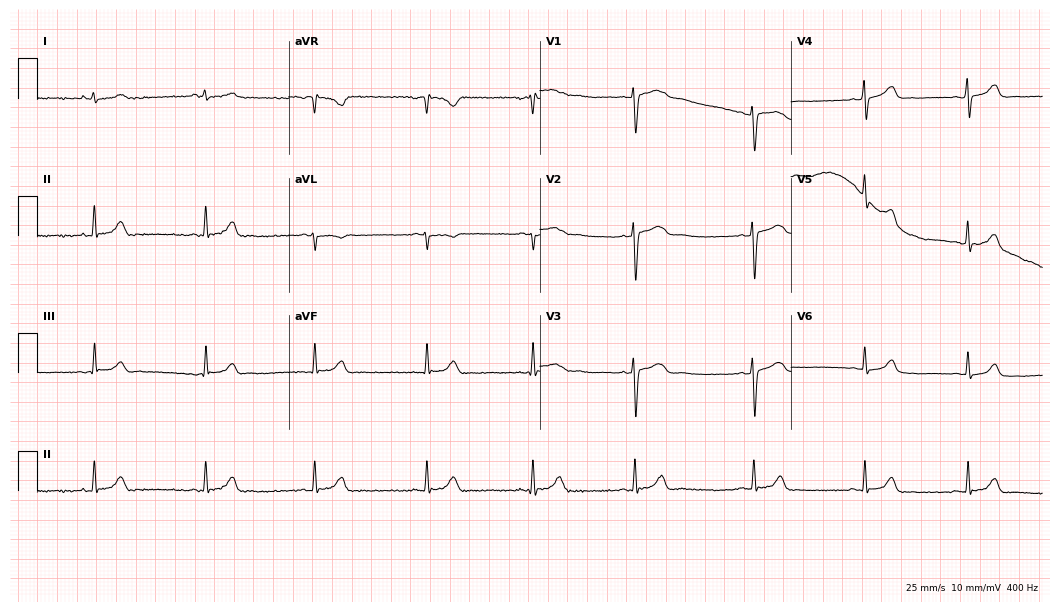
12-lead ECG from a woman, 20 years old. Recorded interpretation: within normal limits.